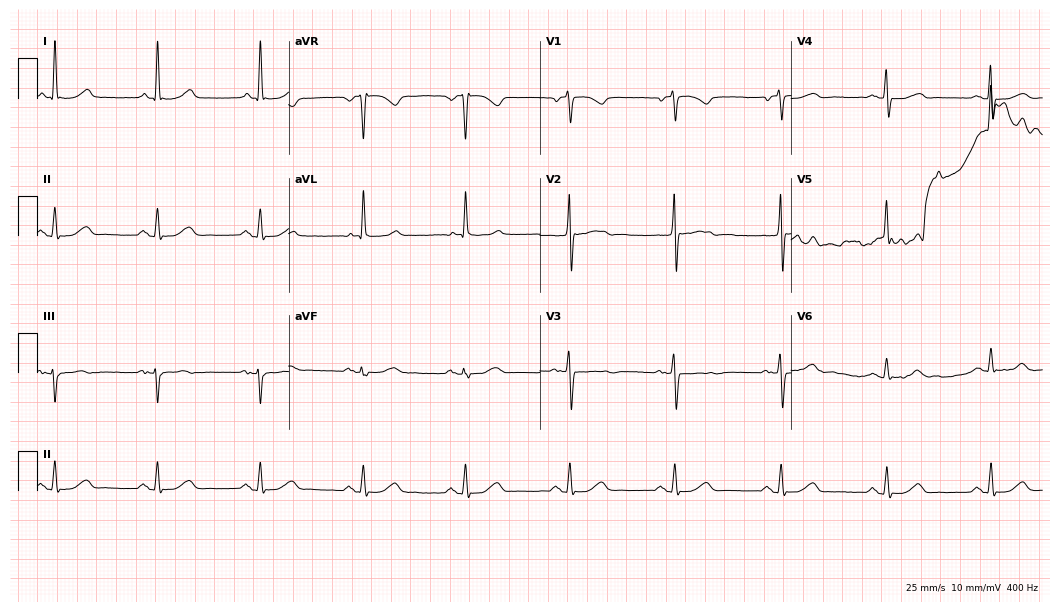
Electrocardiogram (10.2-second recording at 400 Hz), an 80-year-old female. Overall reading on record: normal ECG.